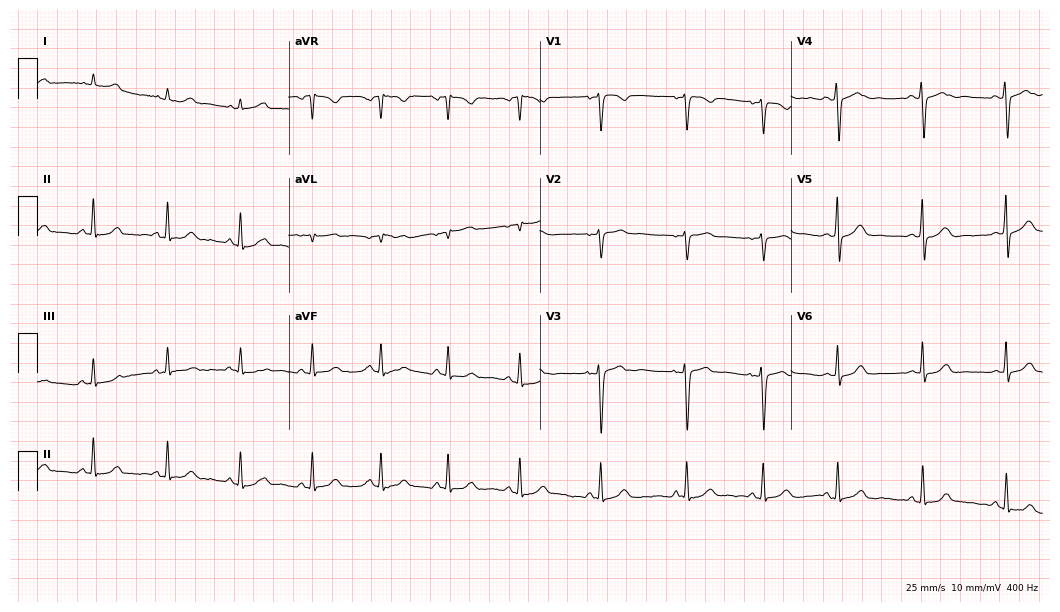
12-lead ECG from a female patient, 40 years old. Labelled as a normal ECG.